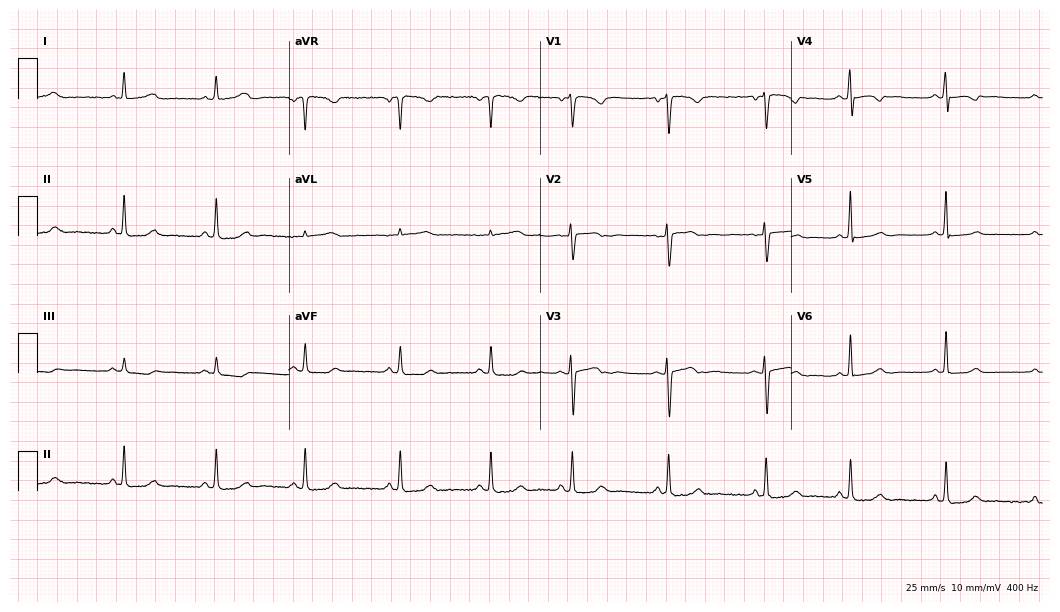
Electrocardiogram (10.2-second recording at 400 Hz), a female, 21 years old. Overall reading on record: normal ECG.